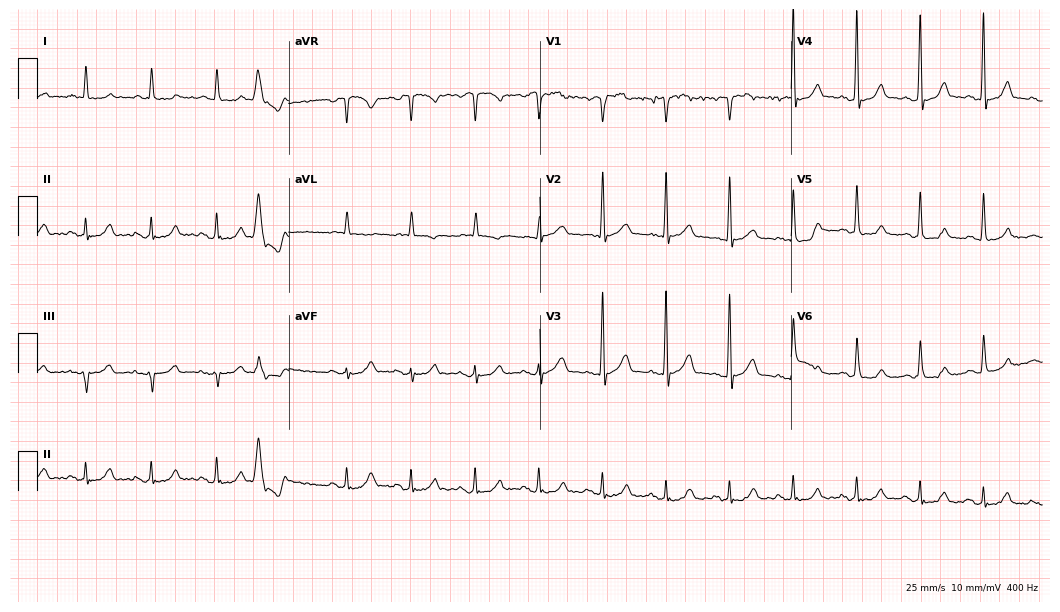
12-lead ECG from a man, 83 years old (10.2-second recording at 400 Hz). No first-degree AV block, right bundle branch block, left bundle branch block, sinus bradycardia, atrial fibrillation or sinus tachycardia recorded for this tracing.